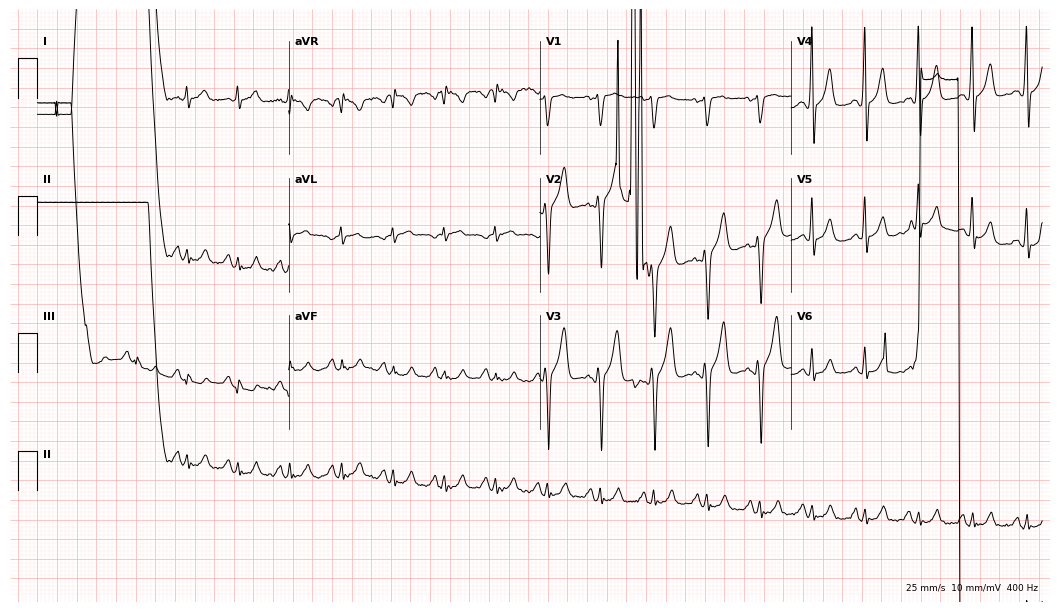
Electrocardiogram (10.2-second recording at 400 Hz), a male patient, 55 years old. Of the six screened findings (first-degree AV block, right bundle branch block, left bundle branch block, sinus bradycardia, atrial fibrillation, sinus tachycardia), none is recorded.